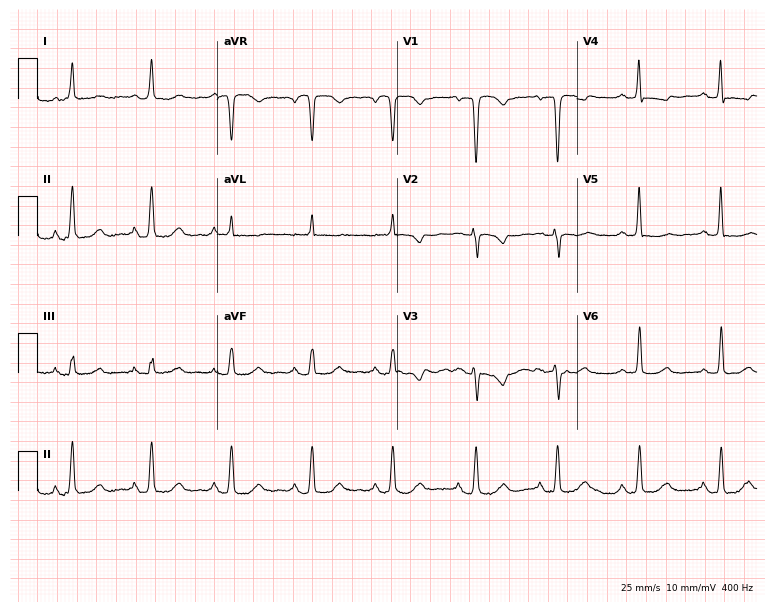
Standard 12-lead ECG recorded from a 78-year-old female (7.3-second recording at 400 Hz). None of these six findings is recorded: first-degree AV block, right bundle branch block, left bundle branch block, sinus bradycardia, atrial fibrillation, sinus tachycardia. Only these six findings were labelled.